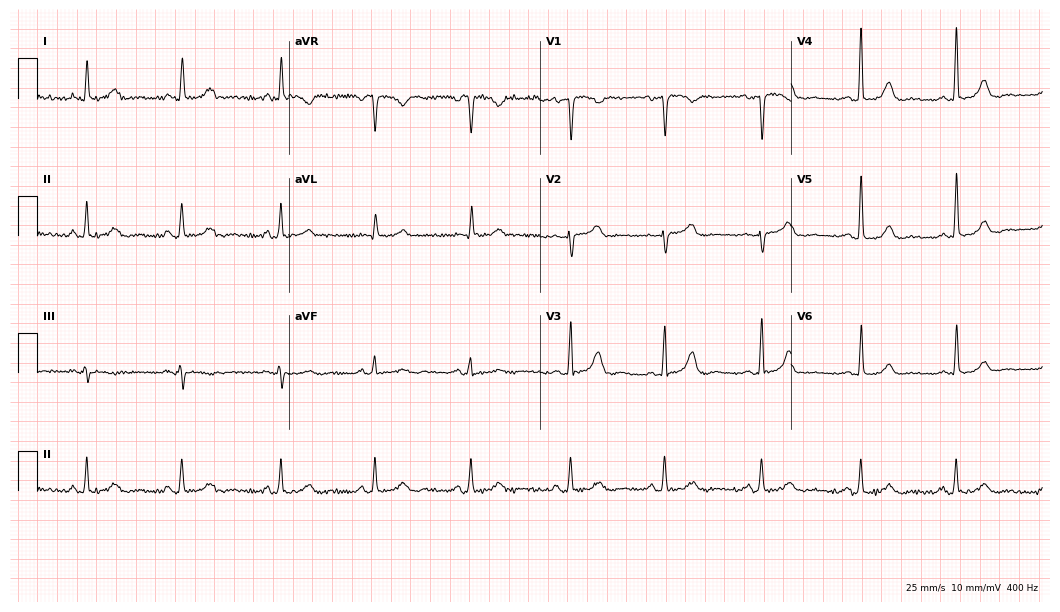
12-lead ECG from a 54-year-old female patient (10.2-second recording at 400 Hz). No first-degree AV block, right bundle branch block, left bundle branch block, sinus bradycardia, atrial fibrillation or sinus tachycardia recorded for this tracing.